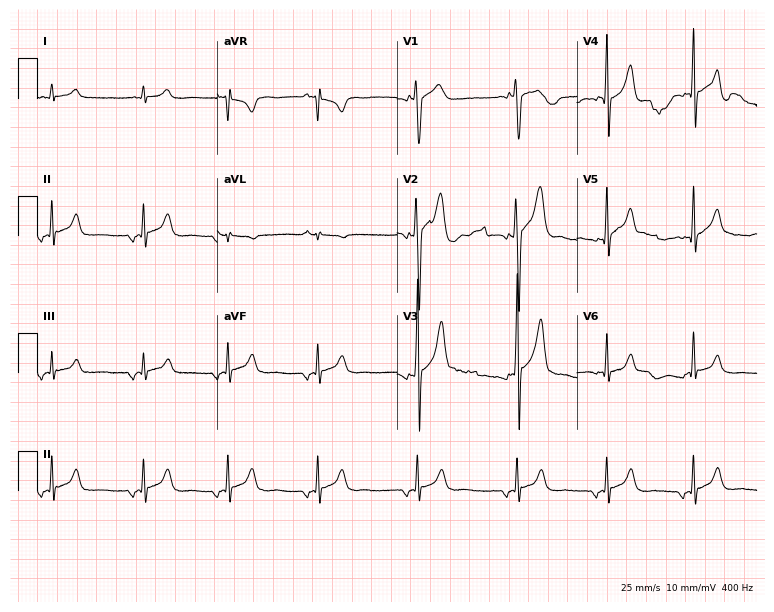
12-lead ECG from a male, 22 years old. Screened for six findings — first-degree AV block, right bundle branch block, left bundle branch block, sinus bradycardia, atrial fibrillation, sinus tachycardia — none is recorded. Other findings, if any, are not listed.